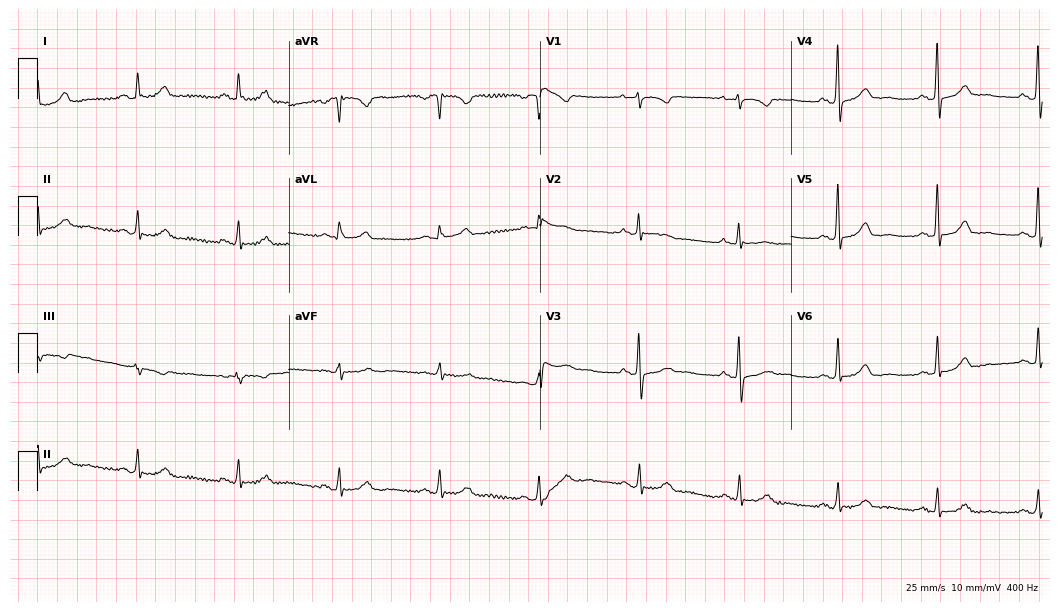
Electrocardiogram, a 61-year-old female. Overall reading on record: normal ECG.